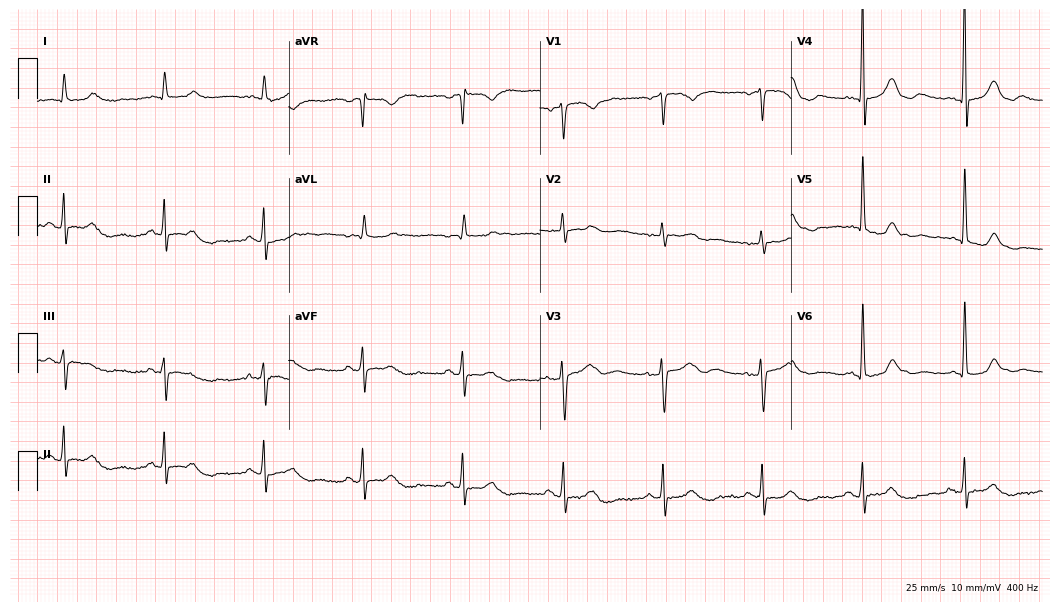
12-lead ECG from a female patient, 82 years old (10.2-second recording at 400 Hz). No first-degree AV block, right bundle branch block, left bundle branch block, sinus bradycardia, atrial fibrillation or sinus tachycardia recorded for this tracing. Other findings, if any, are not listed.